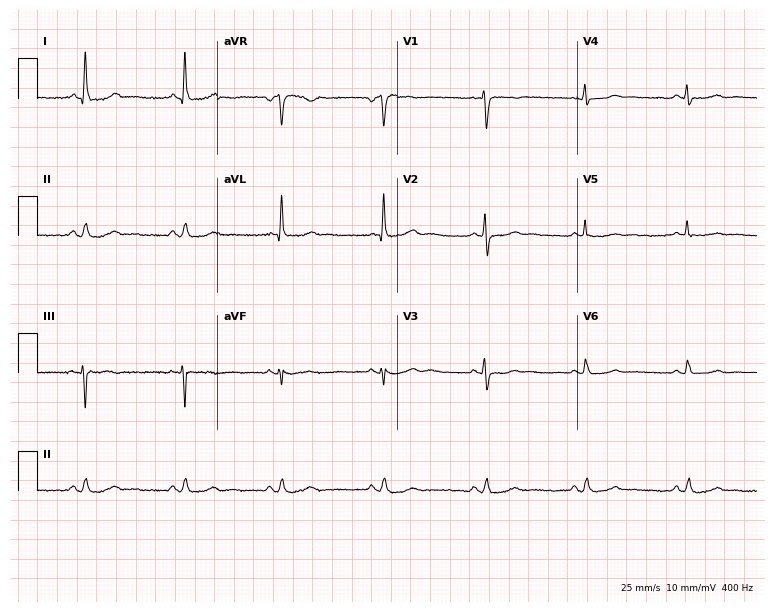
ECG (7.3-second recording at 400 Hz) — a female patient, 54 years old. Screened for six findings — first-degree AV block, right bundle branch block, left bundle branch block, sinus bradycardia, atrial fibrillation, sinus tachycardia — none is recorded. Only these six findings were labelled.